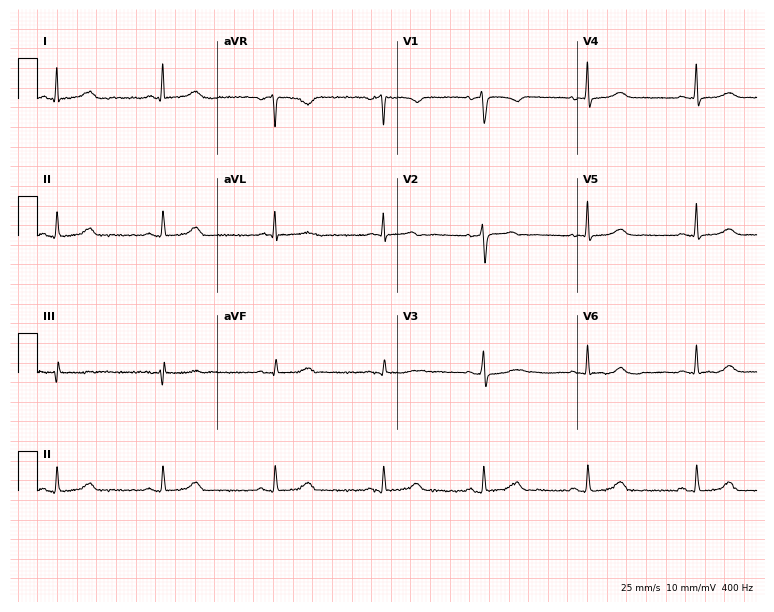
12-lead ECG from a female, 45 years old. Recorded interpretation: within normal limits.